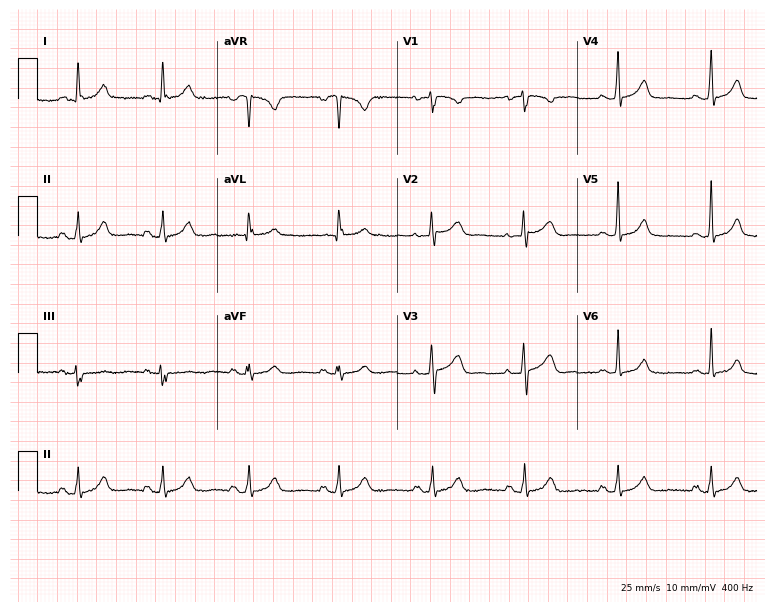
12-lead ECG from a 52-year-old female (7.3-second recording at 400 Hz). Recorded interpretation: within normal limits.